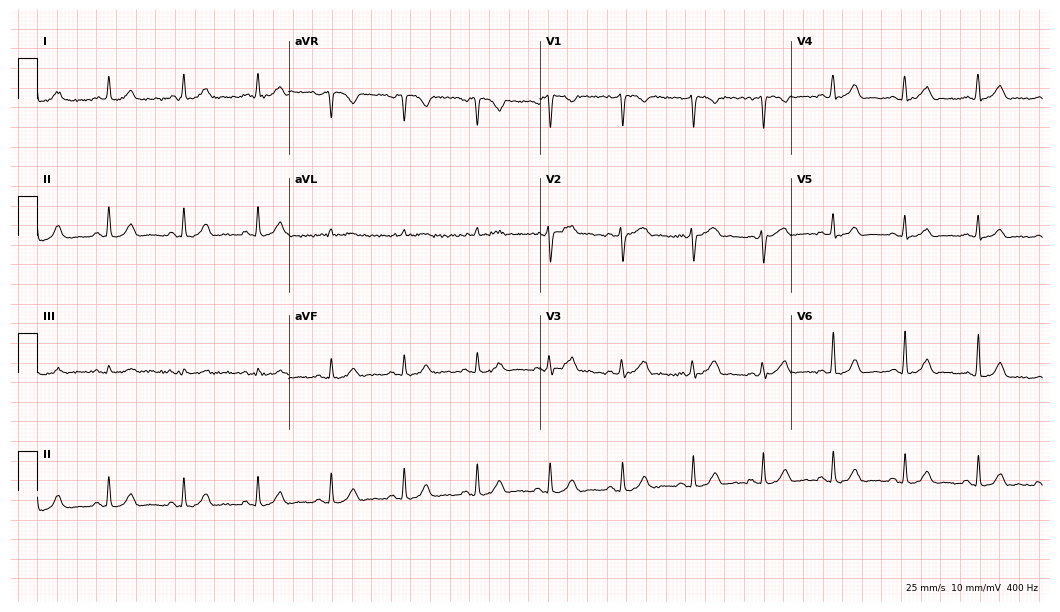
12-lead ECG from a 34-year-old woman. No first-degree AV block, right bundle branch block, left bundle branch block, sinus bradycardia, atrial fibrillation or sinus tachycardia recorded for this tracing.